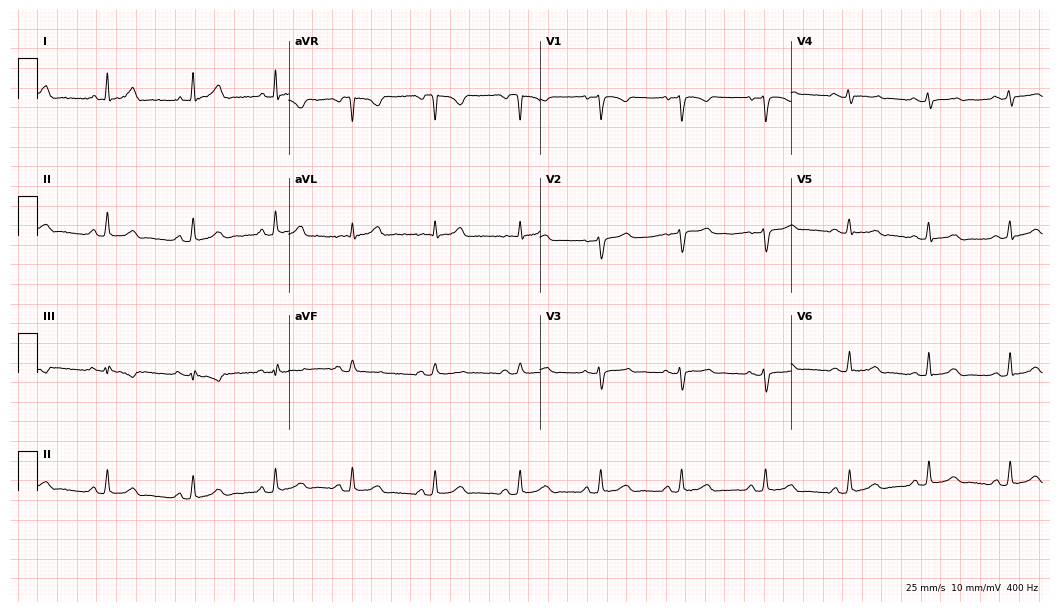
ECG (10.2-second recording at 400 Hz) — a 22-year-old female. Labelled as a normal ECG.